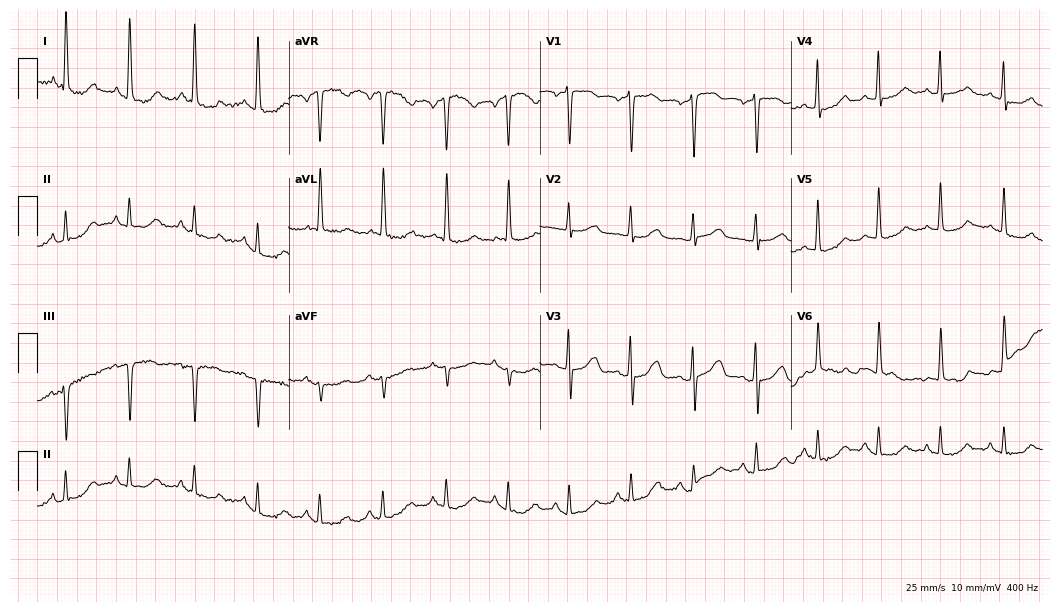
Electrocardiogram (10.2-second recording at 400 Hz), a 68-year-old female. Of the six screened findings (first-degree AV block, right bundle branch block, left bundle branch block, sinus bradycardia, atrial fibrillation, sinus tachycardia), none is recorded. Only these six findings were labelled.